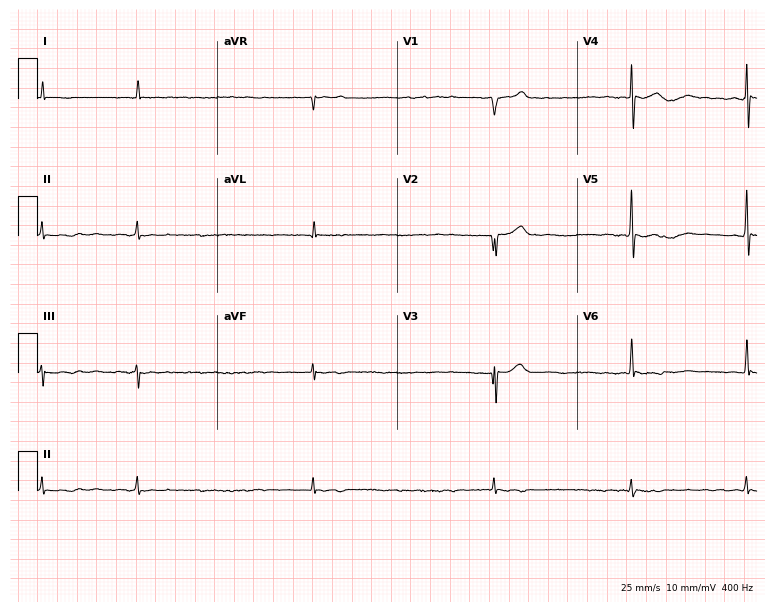
12-lead ECG from a male, 80 years old. Shows atrial fibrillation.